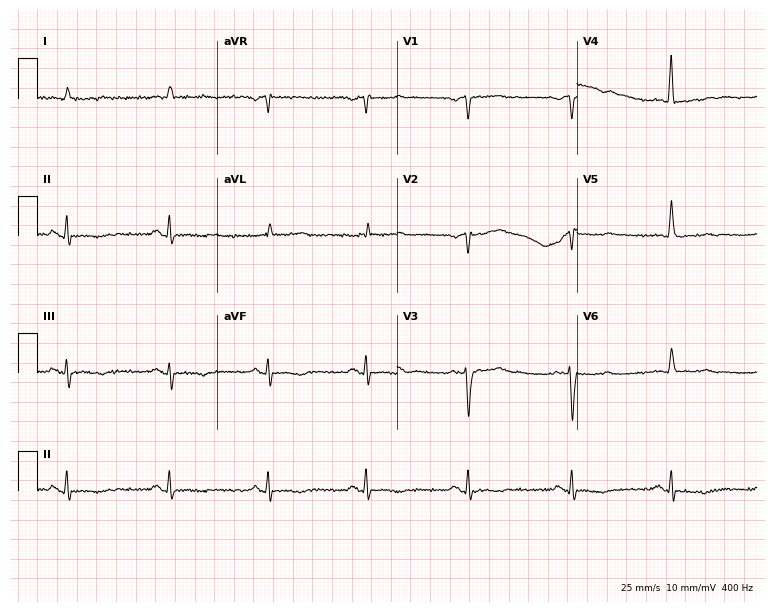
Electrocardiogram (7.3-second recording at 400 Hz), an 81-year-old male. Overall reading on record: normal ECG.